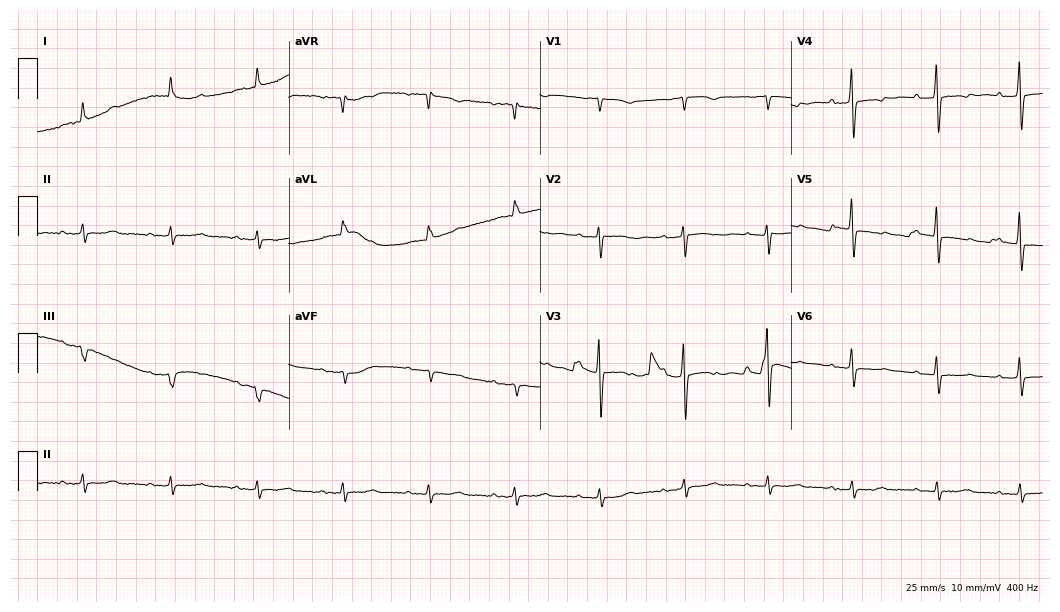
12-lead ECG from a 69-year-old woman. No first-degree AV block, right bundle branch block (RBBB), left bundle branch block (LBBB), sinus bradycardia, atrial fibrillation (AF) or sinus tachycardia recorded for this tracing. Findings outside these six are not listed.